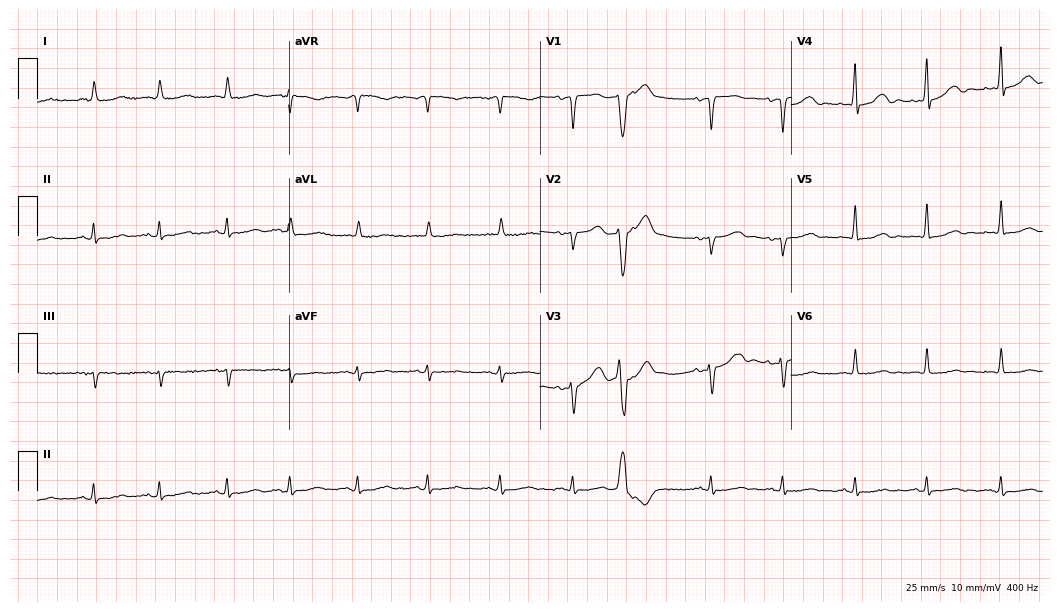
Electrocardiogram, a woman, 83 years old. Of the six screened findings (first-degree AV block, right bundle branch block, left bundle branch block, sinus bradycardia, atrial fibrillation, sinus tachycardia), none is recorded.